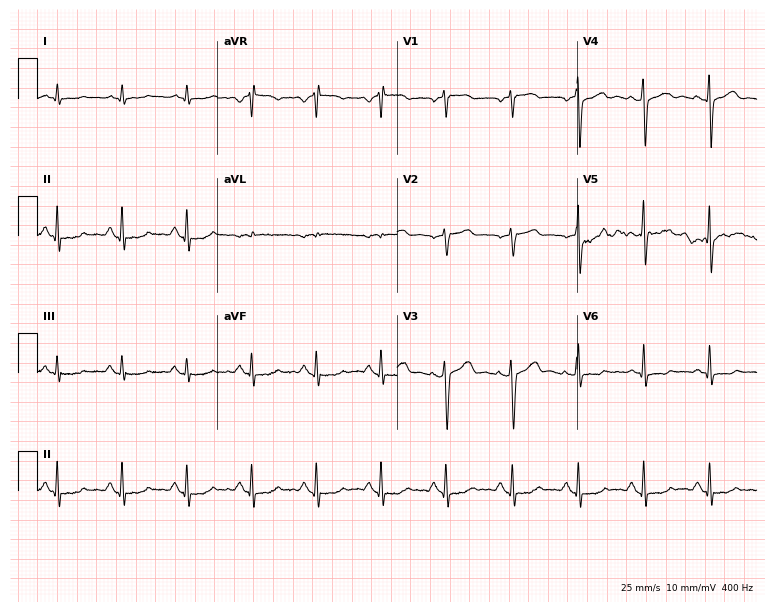
12-lead ECG from a male, 75 years old. Labelled as a normal ECG.